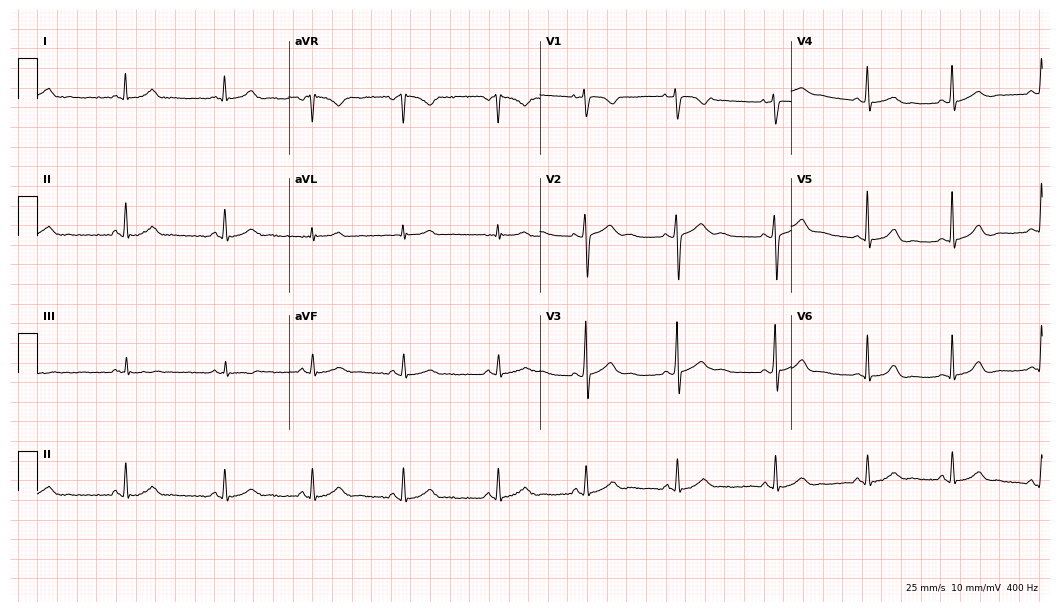
12-lead ECG from a female, 30 years old. Labelled as a normal ECG.